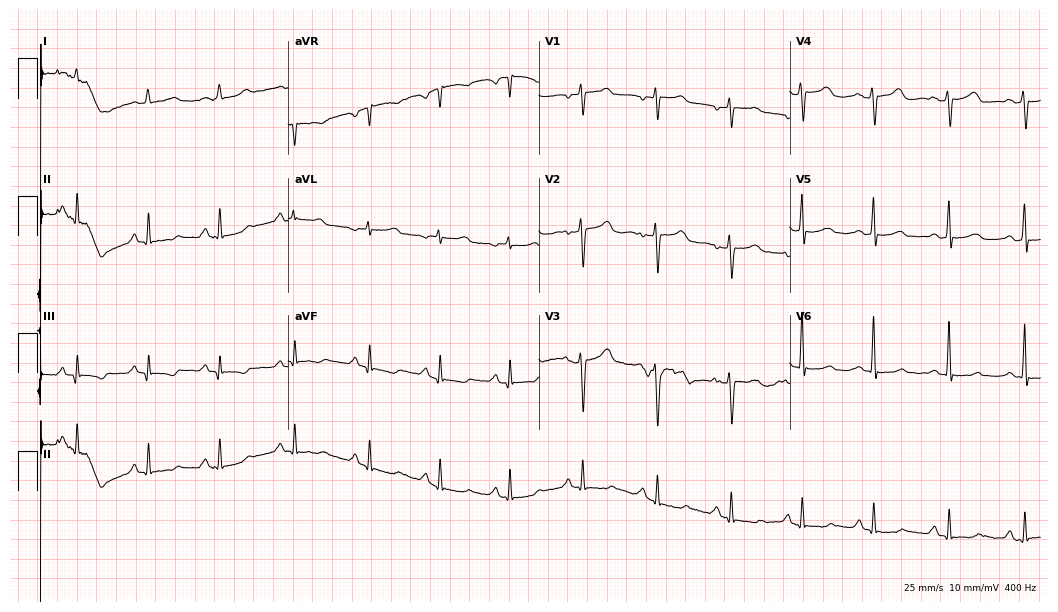
Resting 12-lead electrocardiogram. Patient: a female, 52 years old. None of these six findings is recorded: first-degree AV block, right bundle branch block, left bundle branch block, sinus bradycardia, atrial fibrillation, sinus tachycardia. Findings outside these six are not listed.